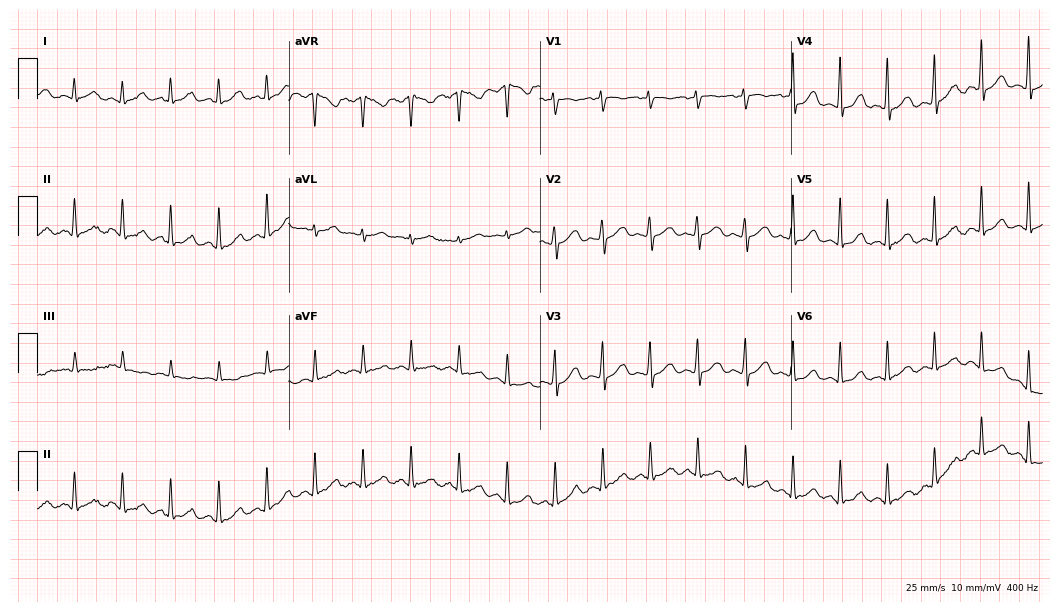
12-lead ECG from a 50-year-old female patient. Findings include sinus tachycardia (a sinus rate of 100 beats per minute or more).